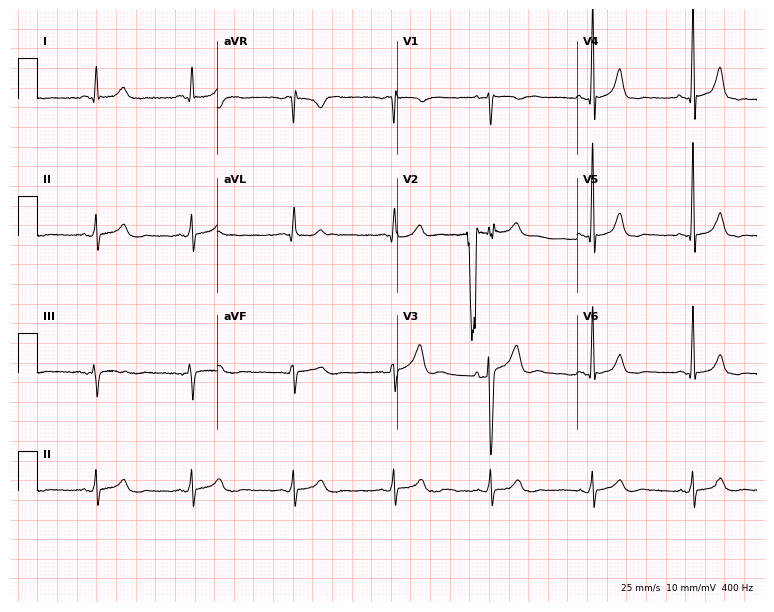
12-lead ECG from a 49-year-old male. Recorded interpretation: within normal limits.